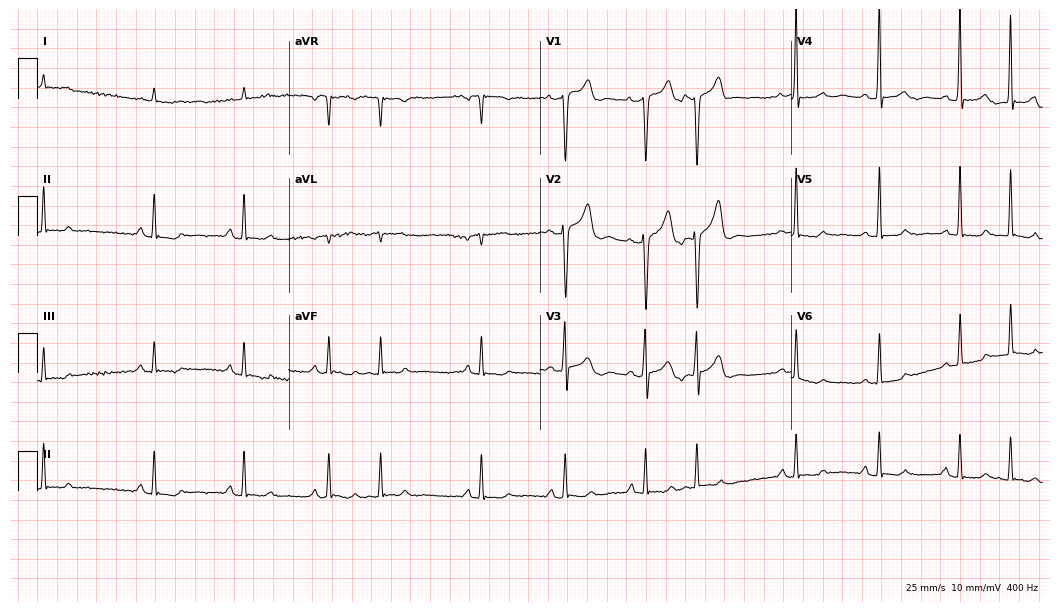
Electrocardiogram (10.2-second recording at 400 Hz), a male, 82 years old. Of the six screened findings (first-degree AV block, right bundle branch block, left bundle branch block, sinus bradycardia, atrial fibrillation, sinus tachycardia), none is recorded.